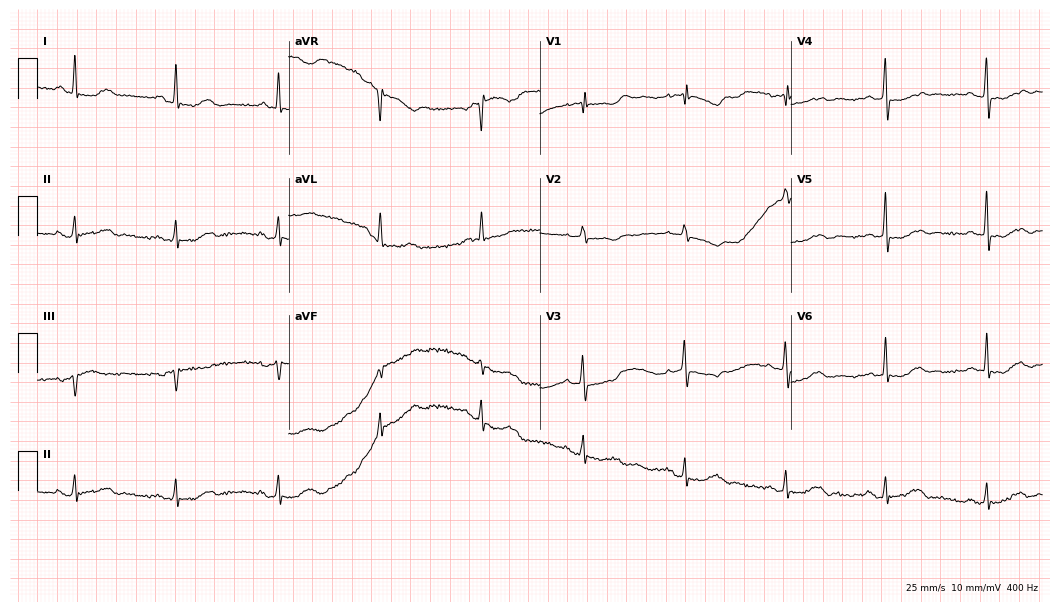
ECG (10.2-second recording at 400 Hz) — a woman, 78 years old. Labelled as a normal ECG.